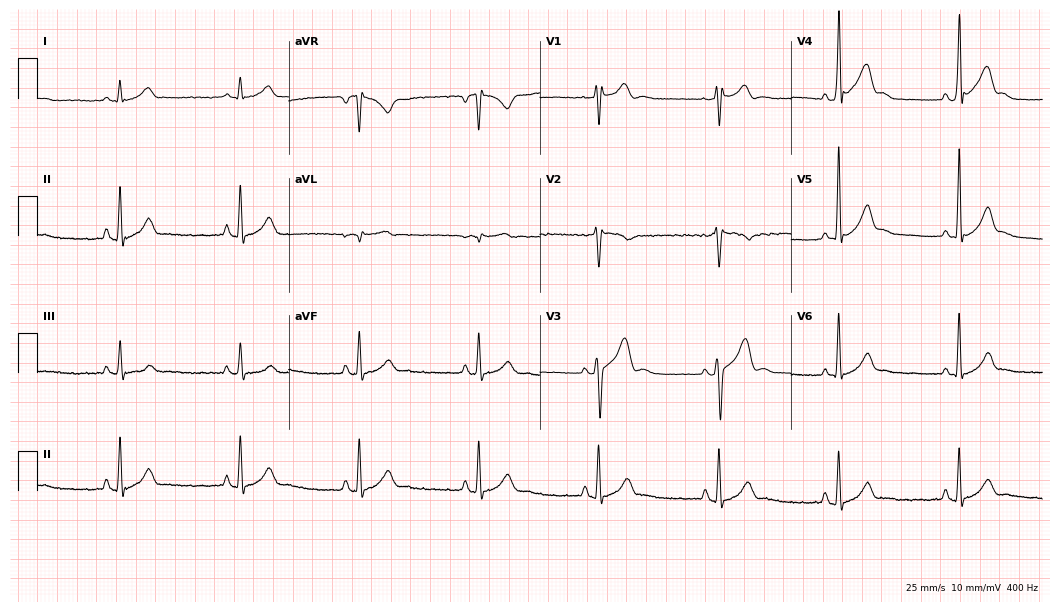
Electrocardiogram, a male patient, 21 years old. Interpretation includes sinus bradycardia (a sinus rate of 50 beats per minute or less).